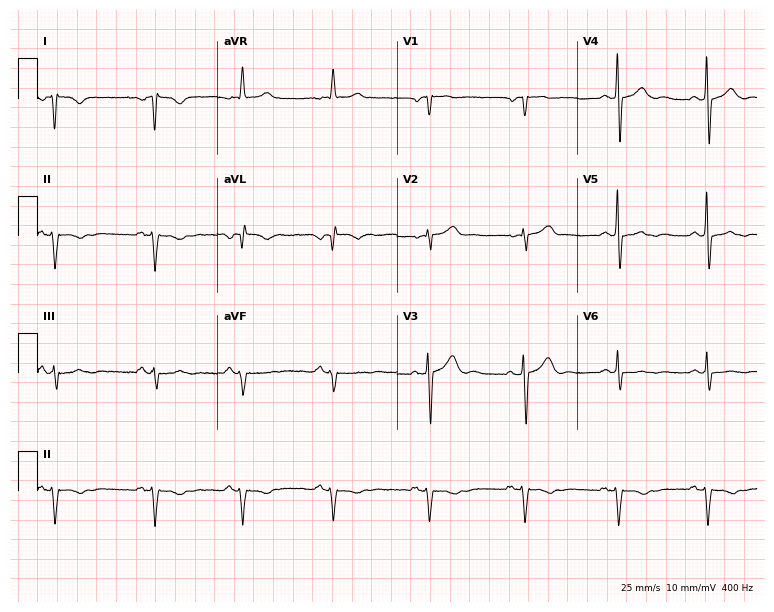
ECG — a 66-year-old man. Screened for six findings — first-degree AV block, right bundle branch block, left bundle branch block, sinus bradycardia, atrial fibrillation, sinus tachycardia — none is recorded. Other findings, if any, are not listed.